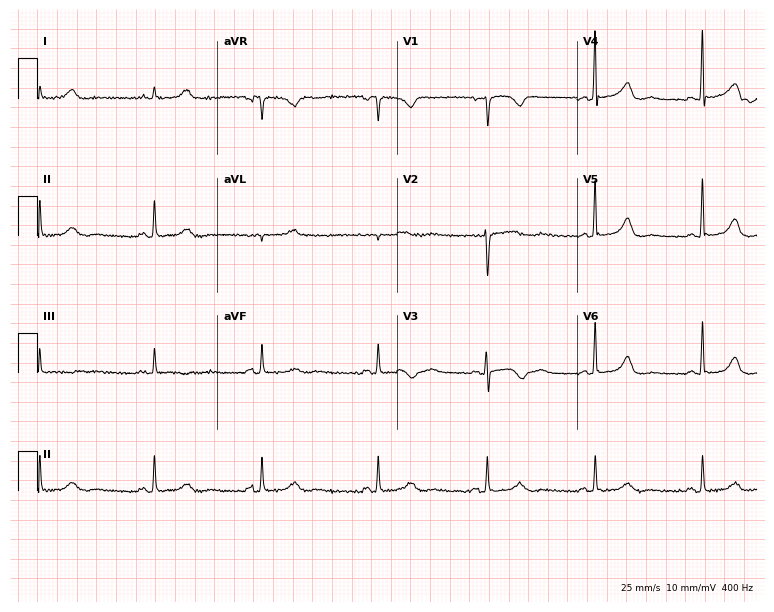
ECG (7.3-second recording at 400 Hz) — a 56-year-old female. Labelled as a normal ECG.